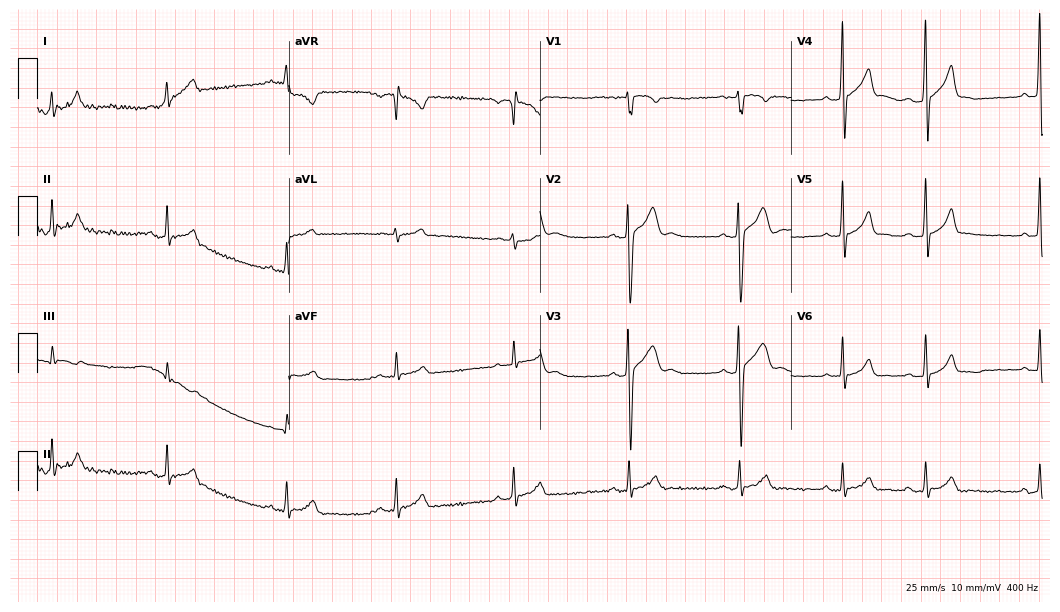
12-lead ECG (10.2-second recording at 400 Hz) from a male patient, 18 years old. Screened for six findings — first-degree AV block, right bundle branch block, left bundle branch block, sinus bradycardia, atrial fibrillation, sinus tachycardia — none is recorded. Only these six findings were labelled.